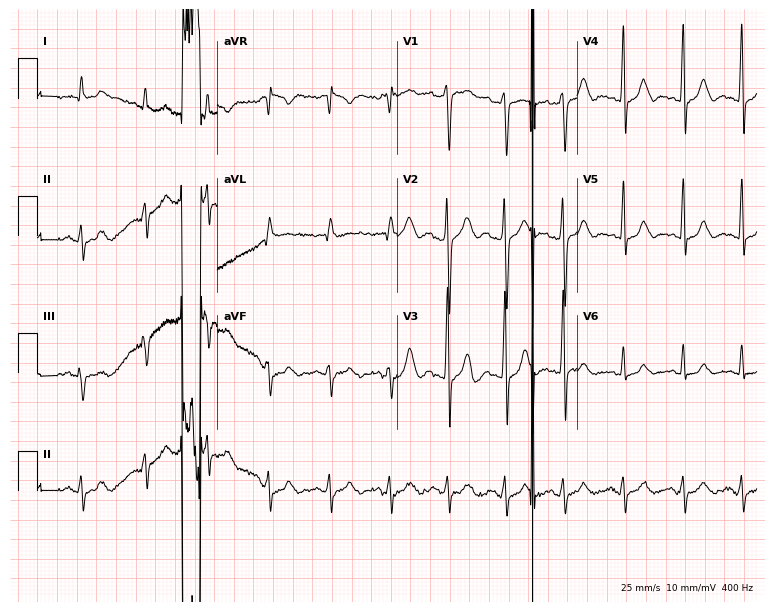
Electrocardiogram (7.3-second recording at 400 Hz), a 33-year-old man. Of the six screened findings (first-degree AV block, right bundle branch block, left bundle branch block, sinus bradycardia, atrial fibrillation, sinus tachycardia), none is recorded.